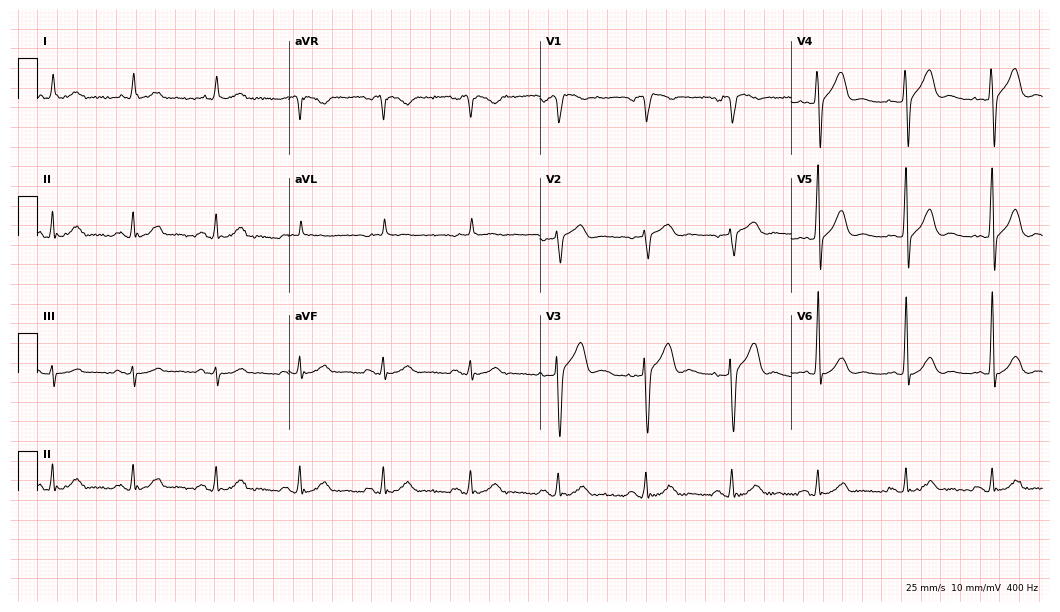
Resting 12-lead electrocardiogram (10.2-second recording at 400 Hz). Patient: a 69-year-old man. Read as a normal ECG.